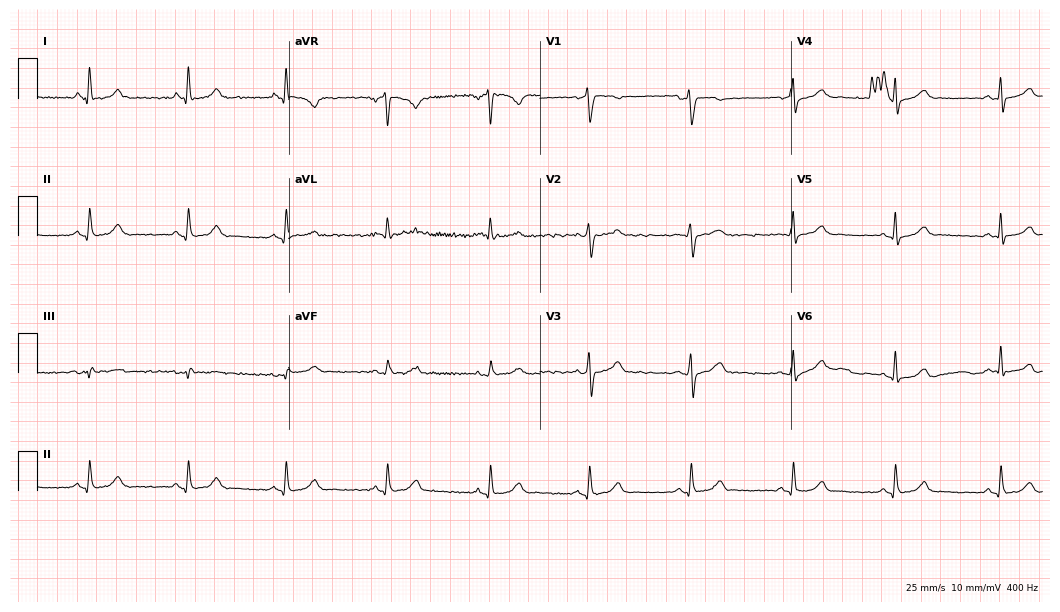
Electrocardiogram, a 49-year-old female. Overall reading on record: normal ECG.